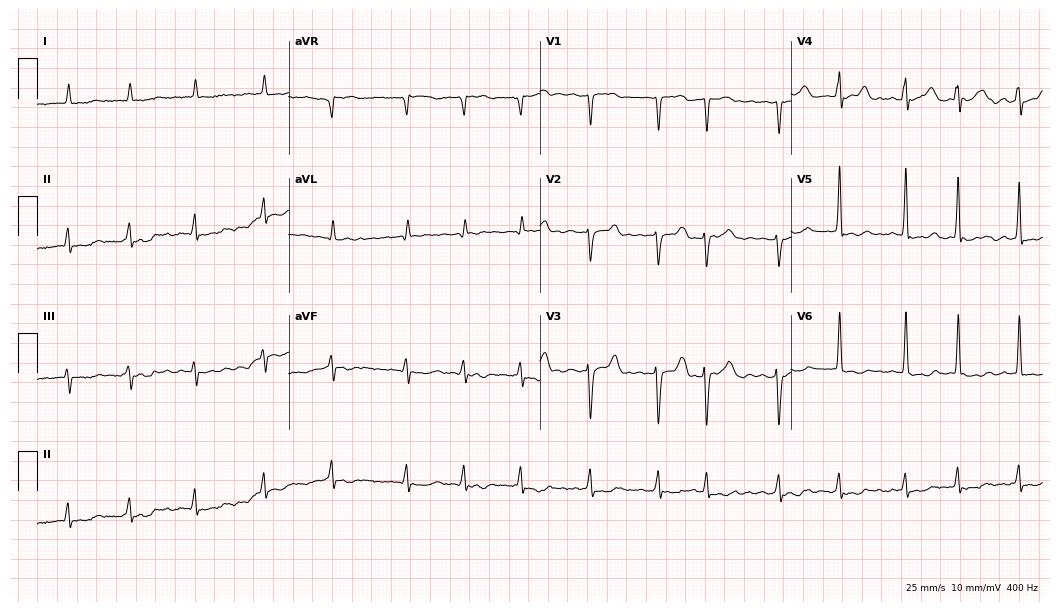
ECG (10.2-second recording at 400 Hz) — an 83-year-old man. Findings include atrial fibrillation (AF).